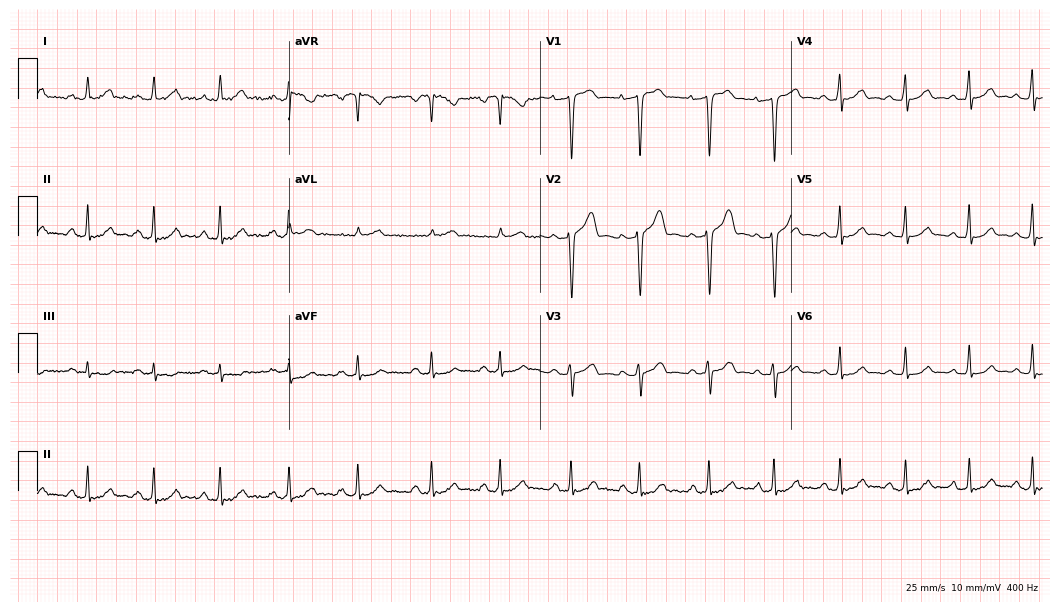
Resting 12-lead electrocardiogram (10.2-second recording at 400 Hz). Patient: a 29-year-old man. None of these six findings is recorded: first-degree AV block, right bundle branch block, left bundle branch block, sinus bradycardia, atrial fibrillation, sinus tachycardia.